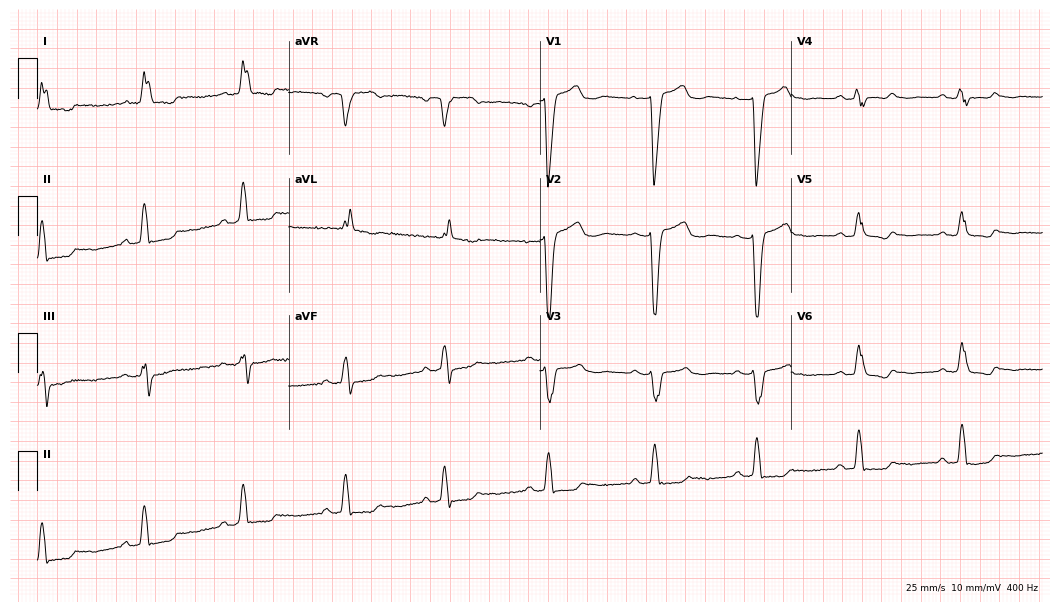
Resting 12-lead electrocardiogram (10.2-second recording at 400 Hz). Patient: a female, 76 years old. The tracing shows left bundle branch block.